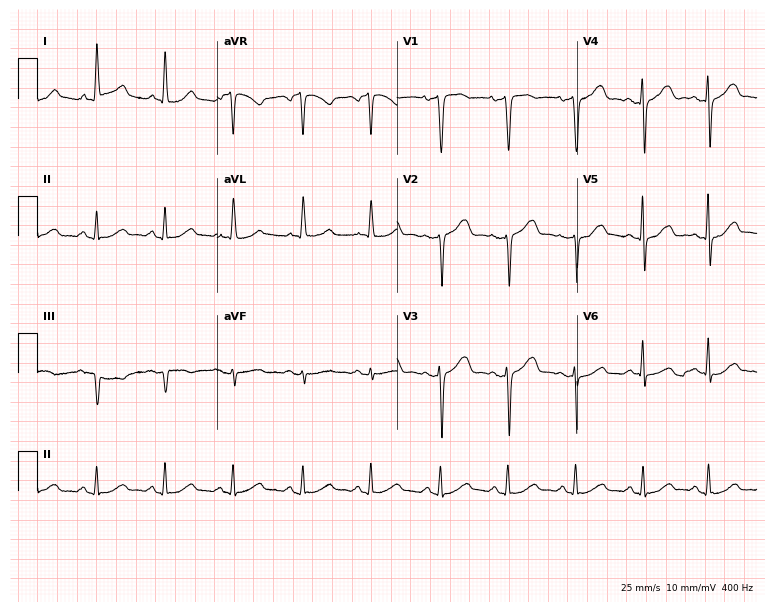
12-lead ECG from a 56-year-old female. No first-degree AV block, right bundle branch block (RBBB), left bundle branch block (LBBB), sinus bradycardia, atrial fibrillation (AF) or sinus tachycardia recorded for this tracing.